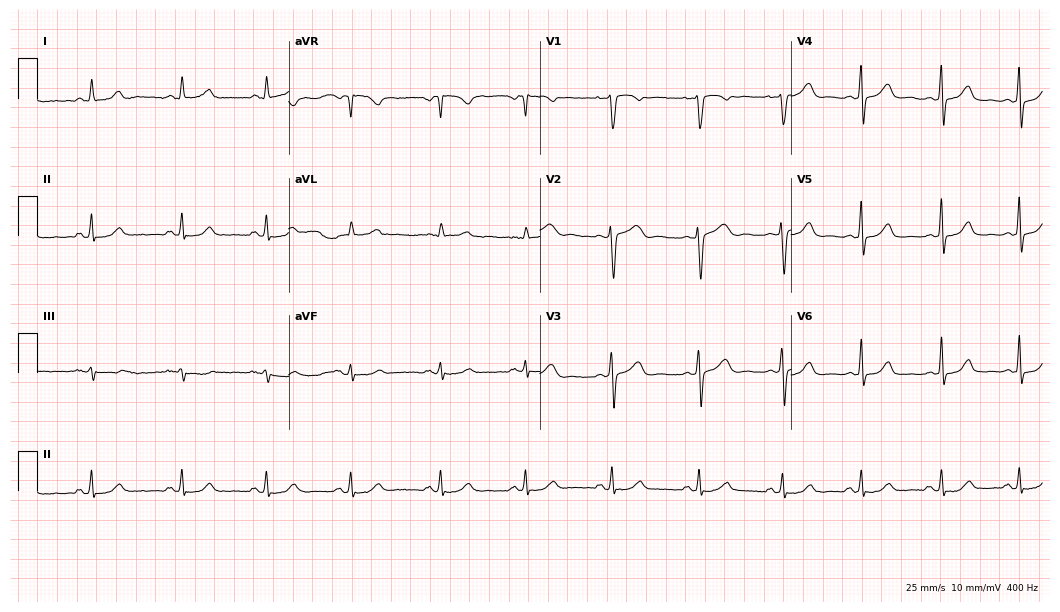
12-lead ECG from a female patient, 30 years old. Recorded interpretation: within normal limits.